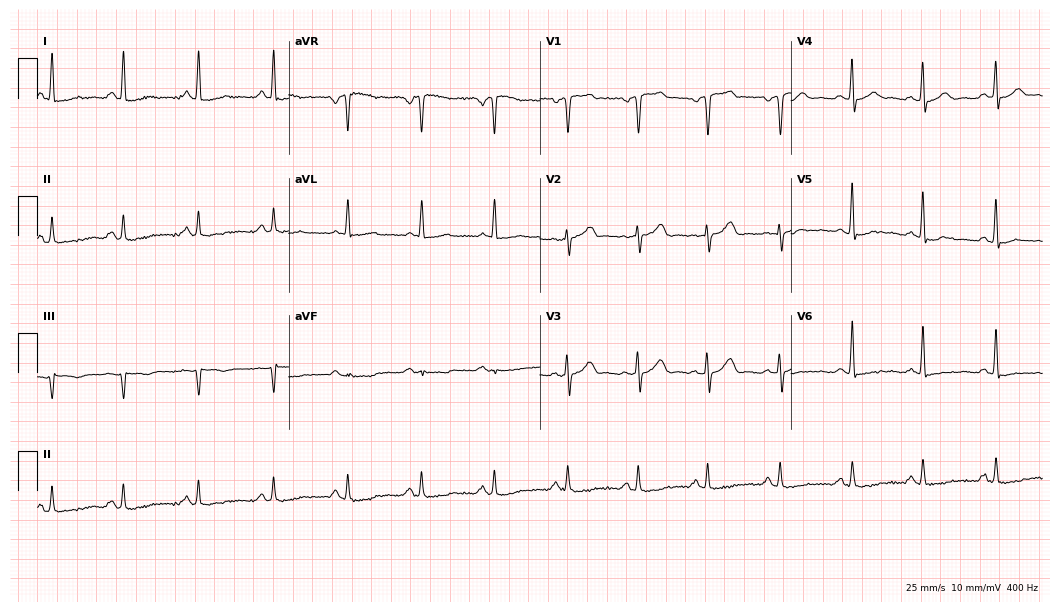
12-lead ECG from a 42-year-old man (10.2-second recording at 400 Hz). No first-degree AV block, right bundle branch block (RBBB), left bundle branch block (LBBB), sinus bradycardia, atrial fibrillation (AF) or sinus tachycardia recorded for this tracing.